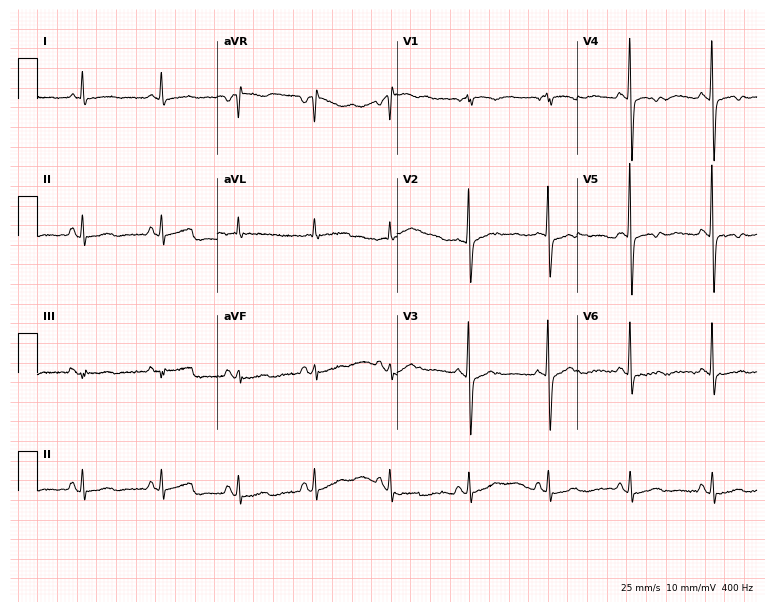
12-lead ECG (7.3-second recording at 400 Hz) from a woman, 73 years old. Screened for six findings — first-degree AV block, right bundle branch block, left bundle branch block, sinus bradycardia, atrial fibrillation, sinus tachycardia — none is recorded.